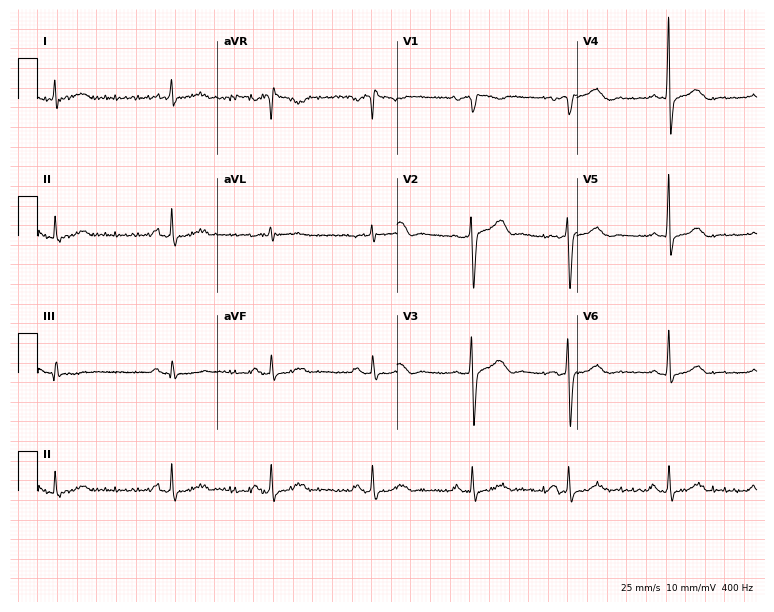
Standard 12-lead ECG recorded from a 75-year-old male. None of these six findings is recorded: first-degree AV block, right bundle branch block (RBBB), left bundle branch block (LBBB), sinus bradycardia, atrial fibrillation (AF), sinus tachycardia.